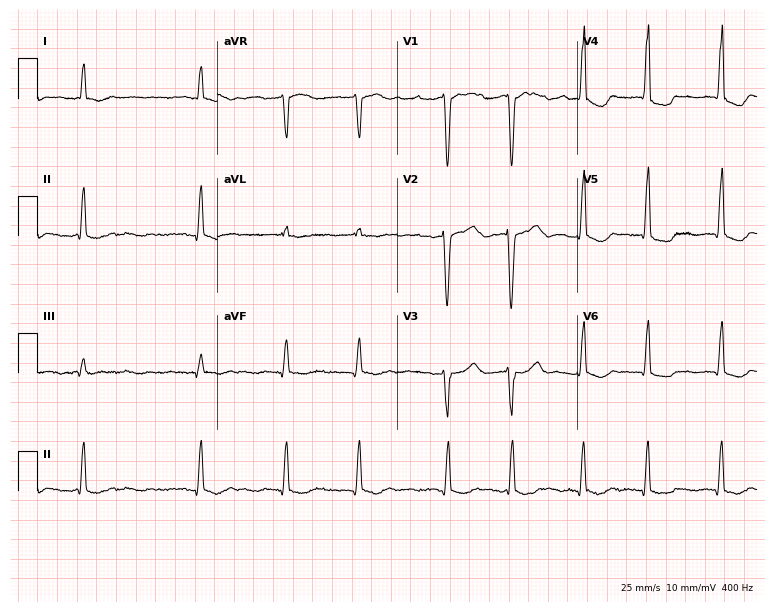
12-lead ECG from a female, 69 years old (7.3-second recording at 400 Hz). Shows atrial fibrillation (AF).